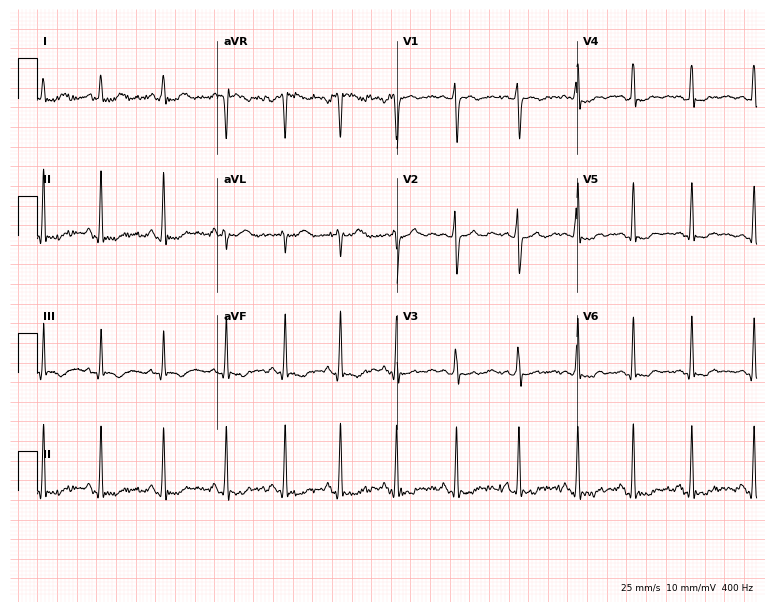
Standard 12-lead ECG recorded from a 17-year-old woman (7.3-second recording at 400 Hz). None of these six findings is recorded: first-degree AV block, right bundle branch block, left bundle branch block, sinus bradycardia, atrial fibrillation, sinus tachycardia. Findings outside these six are not listed.